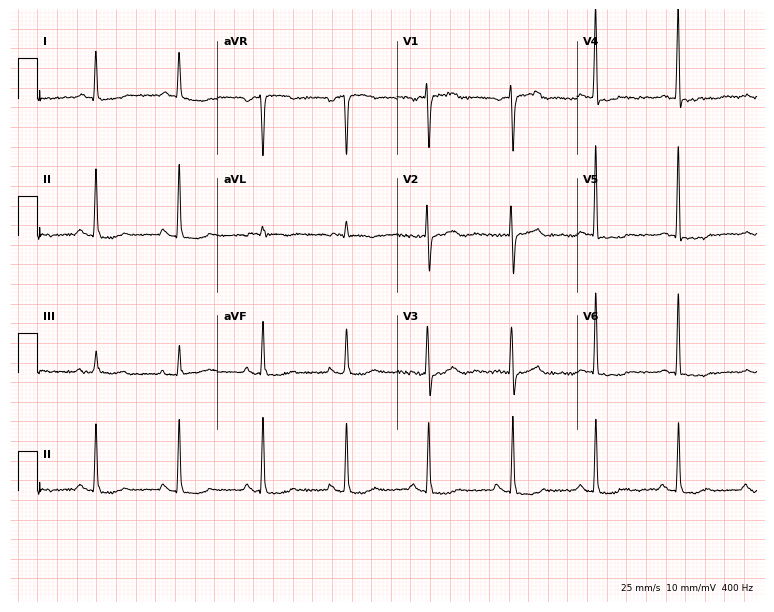
Standard 12-lead ECG recorded from an 83-year-old female (7.3-second recording at 400 Hz). None of these six findings is recorded: first-degree AV block, right bundle branch block, left bundle branch block, sinus bradycardia, atrial fibrillation, sinus tachycardia.